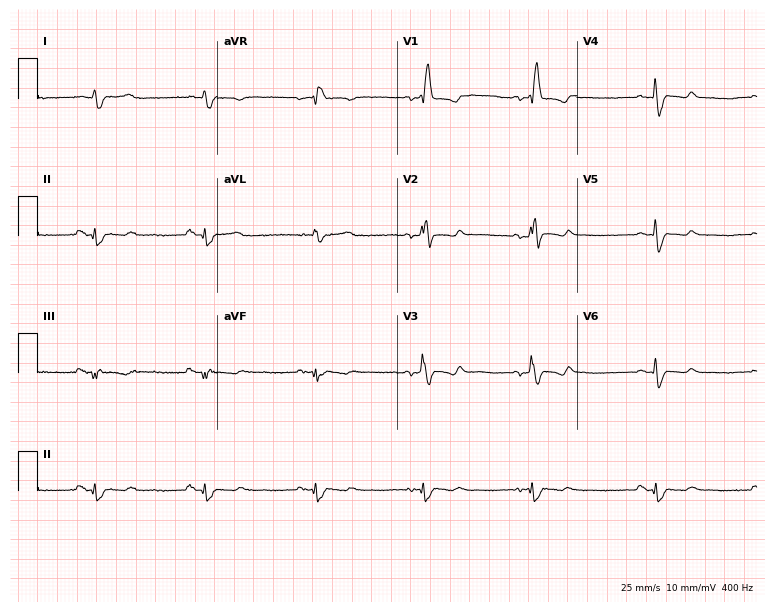
Resting 12-lead electrocardiogram (7.3-second recording at 400 Hz). Patient: a 71-year-old man. The tracing shows right bundle branch block.